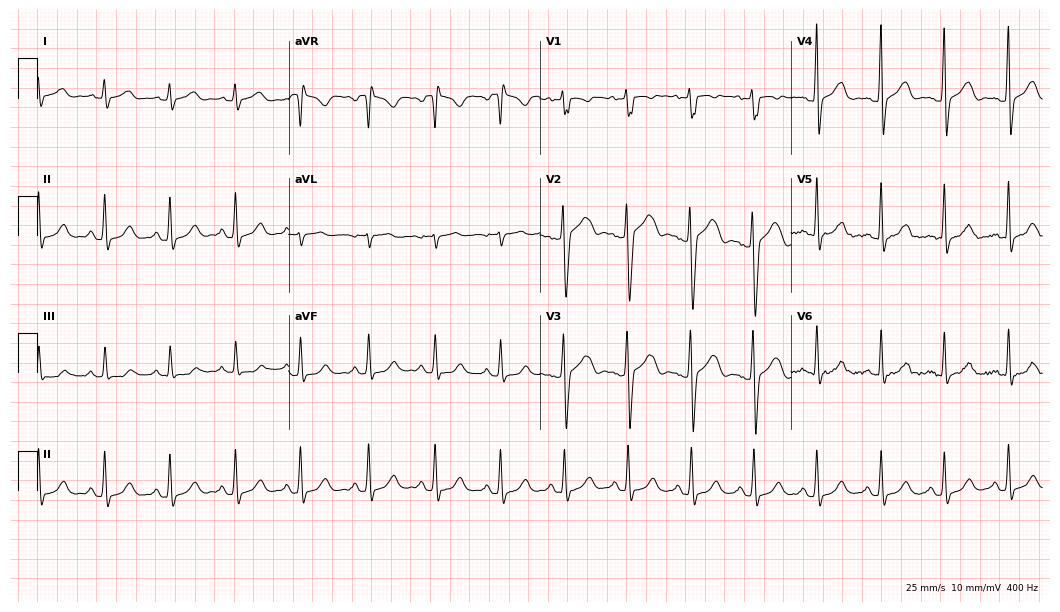
12-lead ECG (10.2-second recording at 400 Hz) from a 24-year-old male patient. Screened for six findings — first-degree AV block, right bundle branch block (RBBB), left bundle branch block (LBBB), sinus bradycardia, atrial fibrillation (AF), sinus tachycardia — none is recorded. Only these six findings were labelled.